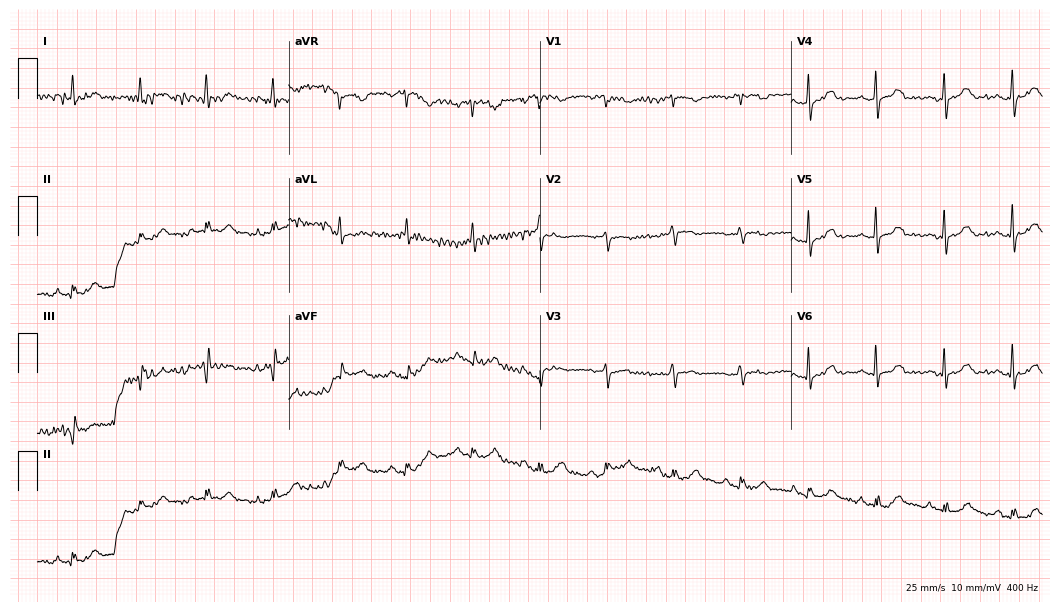
Resting 12-lead electrocardiogram. Patient: a male, 84 years old. None of these six findings is recorded: first-degree AV block, right bundle branch block, left bundle branch block, sinus bradycardia, atrial fibrillation, sinus tachycardia. Other findings, if any, are not listed.